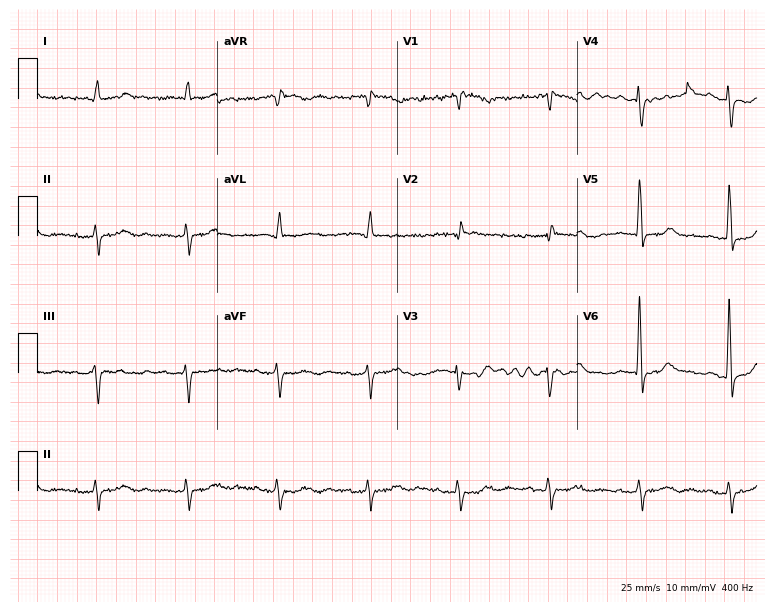
ECG (7.3-second recording at 400 Hz) — a woman, 74 years old. Screened for six findings — first-degree AV block, right bundle branch block (RBBB), left bundle branch block (LBBB), sinus bradycardia, atrial fibrillation (AF), sinus tachycardia — none is recorded. Findings outside these six are not listed.